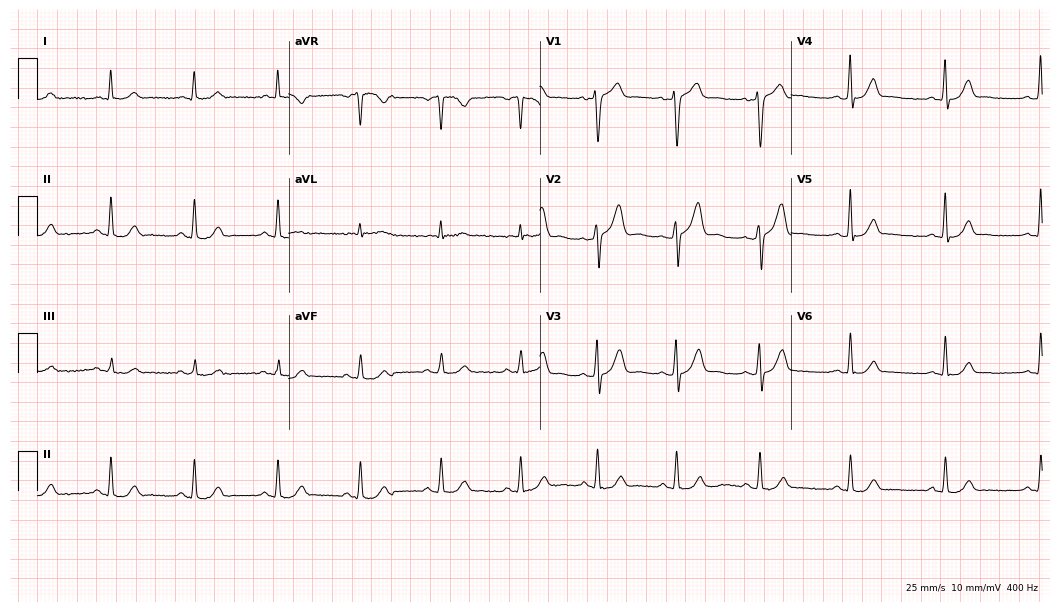
Resting 12-lead electrocardiogram (10.2-second recording at 400 Hz). Patient: a 45-year-old man. Read as a normal ECG.